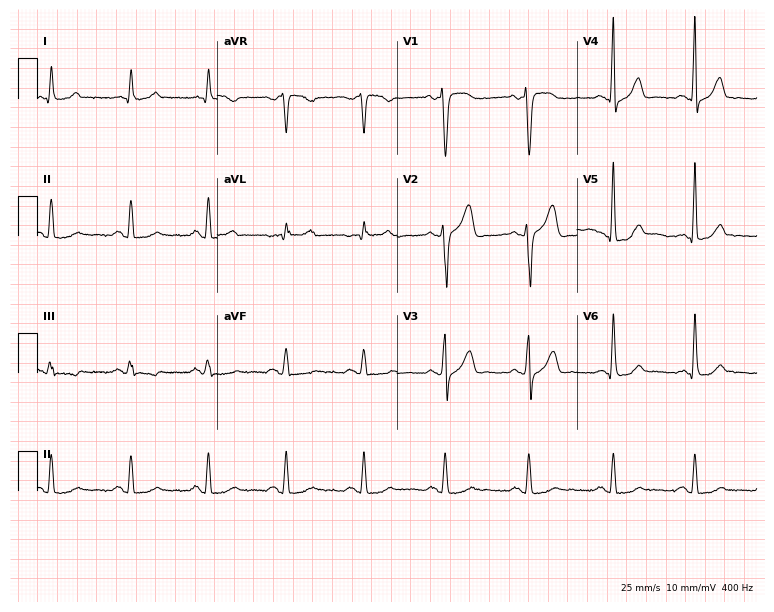
12-lead ECG from a 62-year-old male patient (7.3-second recording at 400 Hz). No first-degree AV block, right bundle branch block (RBBB), left bundle branch block (LBBB), sinus bradycardia, atrial fibrillation (AF) or sinus tachycardia recorded for this tracing. Only these six findings were labelled.